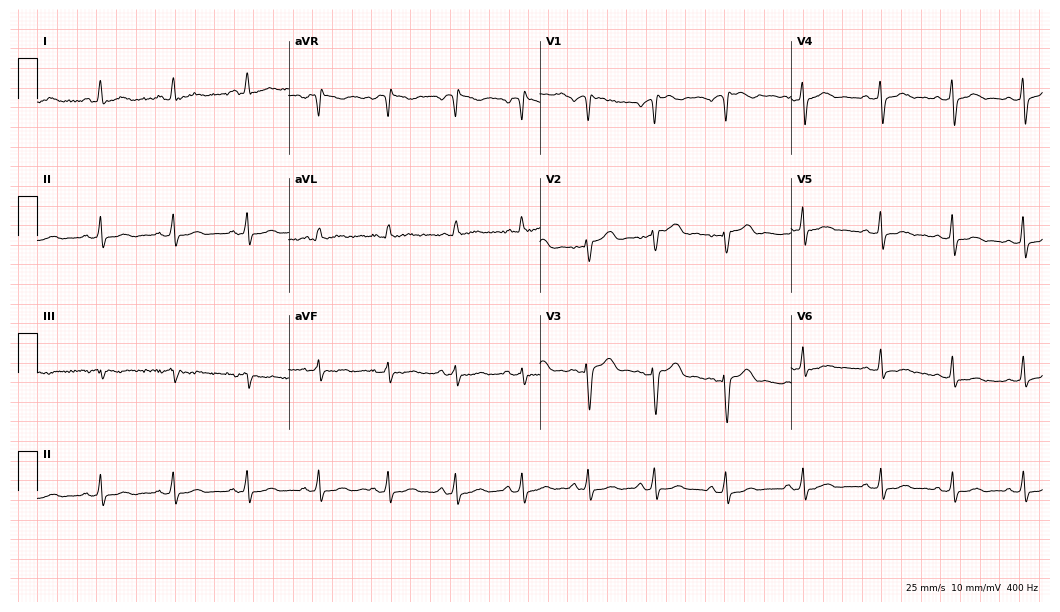
Standard 12-lead ECG recorded from a female patient, 51 years old. None of these six findings is recorded: first-degree AV block, right bundle branch block, left bundle branch block, sinus bradycardia, atrial fibrillation, sinus tachycardia. Findings outside these six are not listed.